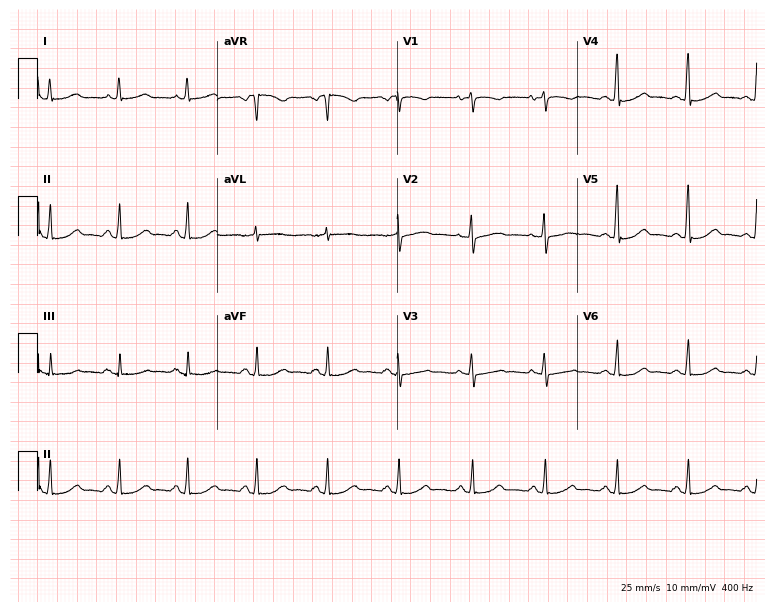
Standard 12-lead ECG recorded from a 58-year-old woman (7.3-second recording at 400 Hz). Read as a normal ECG.